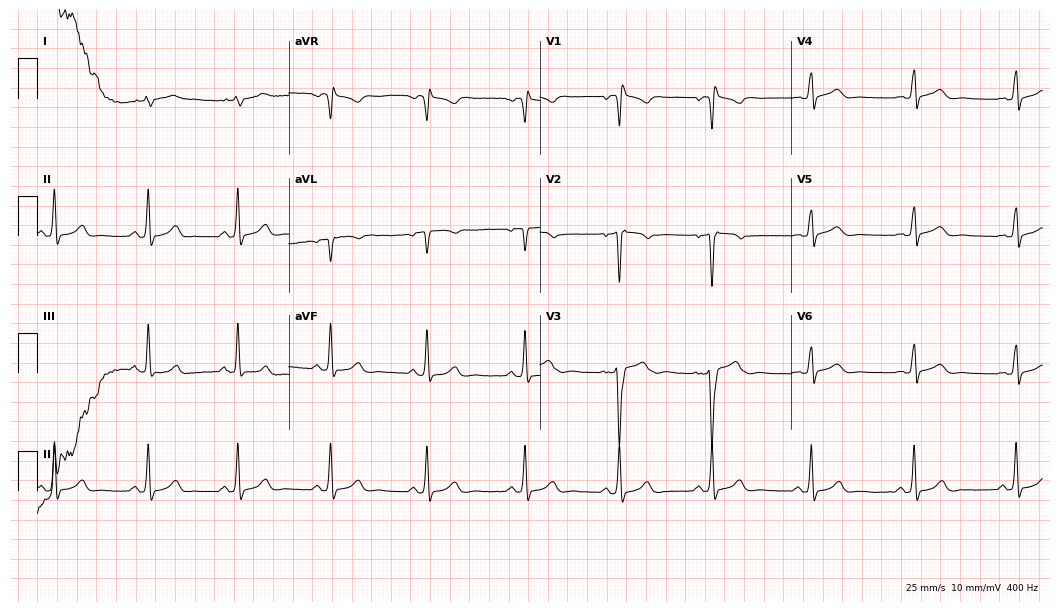
12-lead ECG from a man, 25 years old (10.2-second recording at 400 Hz). No first-degree AV block, right bundle branch block, left bundle branch block, sinus bradycardia, atrial fibrillation or sinus tachycardia recorded for this tracing. Other findings, if any, are not listed.